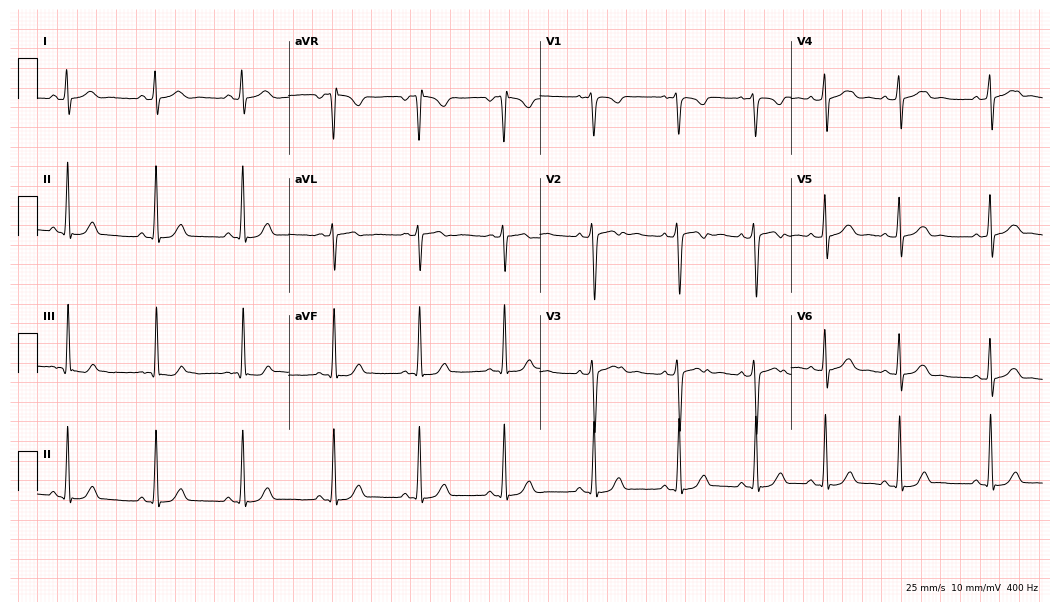
Electrocardiogram (10.2-second recording at 400 Hz), an 18-year-old woman. Overall reading on record: normal ECG.